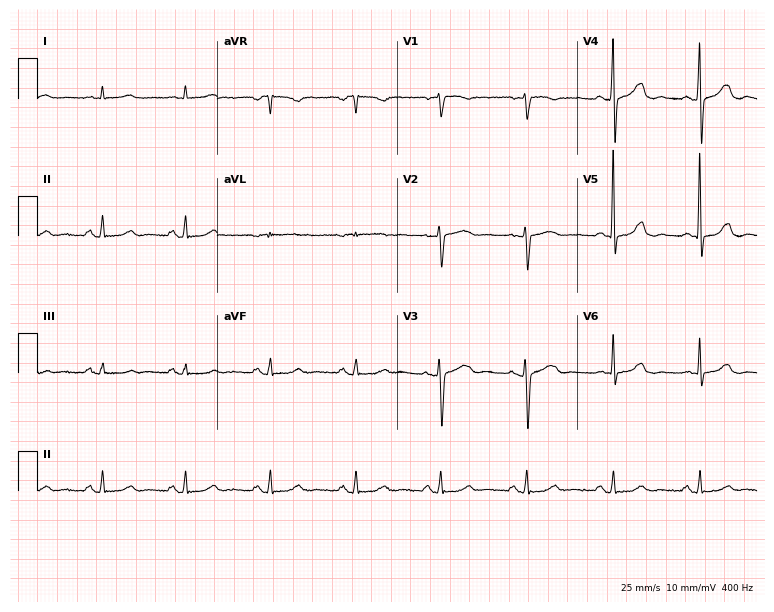
ECG (7.3-second recording at 400 Hz) — a 72-year-old female patient. Screened for six findings — first-degree AV block, right bundle branch block, left bundle branch block, sinus bradycardia, atrial fibrillation, sinus tachycardia — none is recorded.